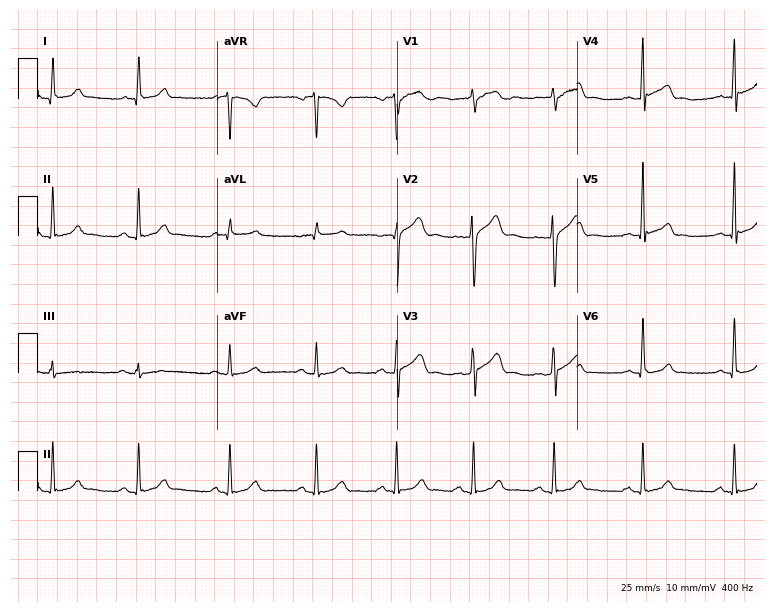
ECG (7.3-second recording at 400 Hz) — a 38-year-old male. Screened for six findings — first-degree AV block, right bundle branch block (RBBB), left bundle branch block (LBBB), sinus bradycardia, atrial fibrillation (AF), sinus tachycardia — none is recorded. Findings outside these six are not listed.